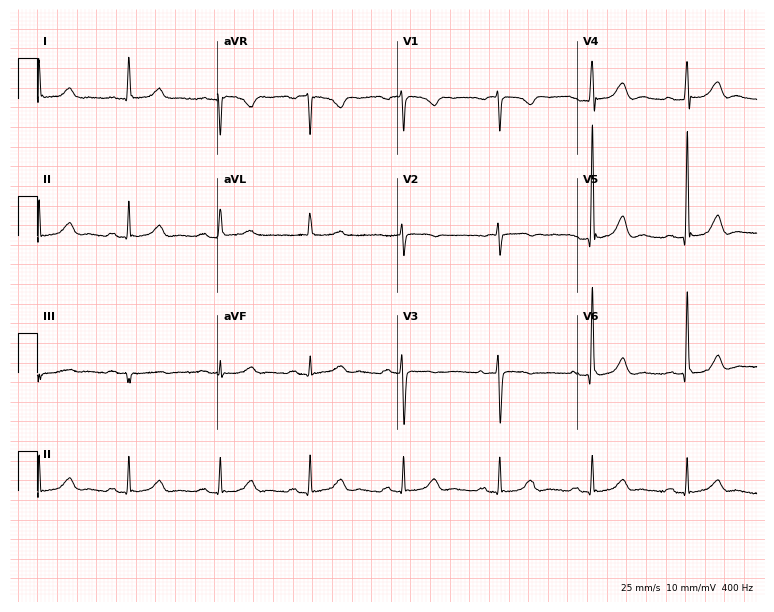
Resting 12-lead electrocardiogram. Patient: a female, 68 years old. None of these six findings is recorded: first-degree AV block, right bundle branch block (RBBB), left bundle branch block (LBBB), sinus bradycardia, atrial fibrillation (AF), sinus tachycardia.